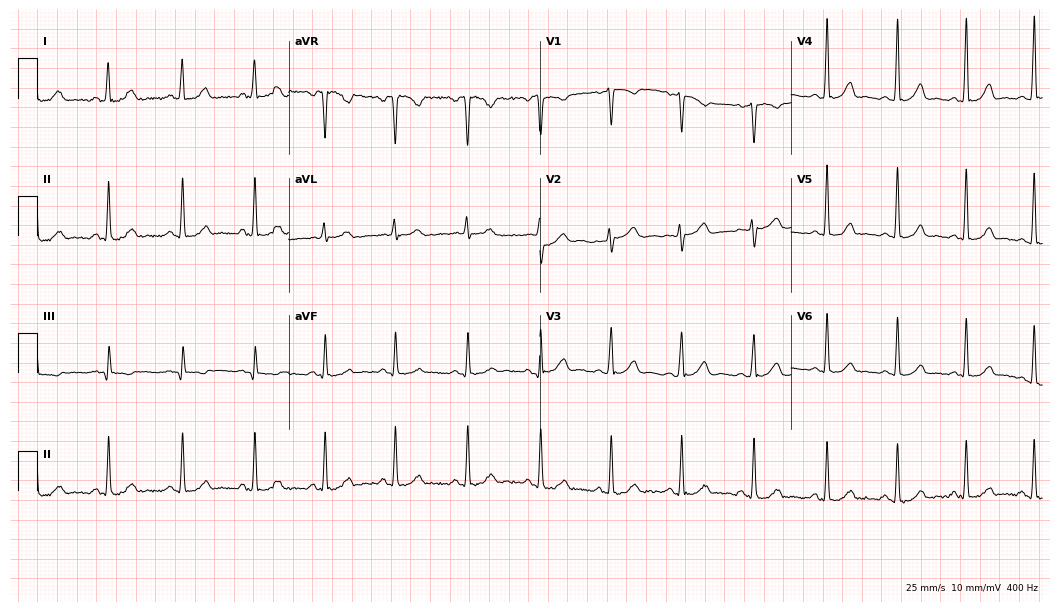
12-lead ECG from a 33-year-old female. Recorded interpretation: within normal limits.